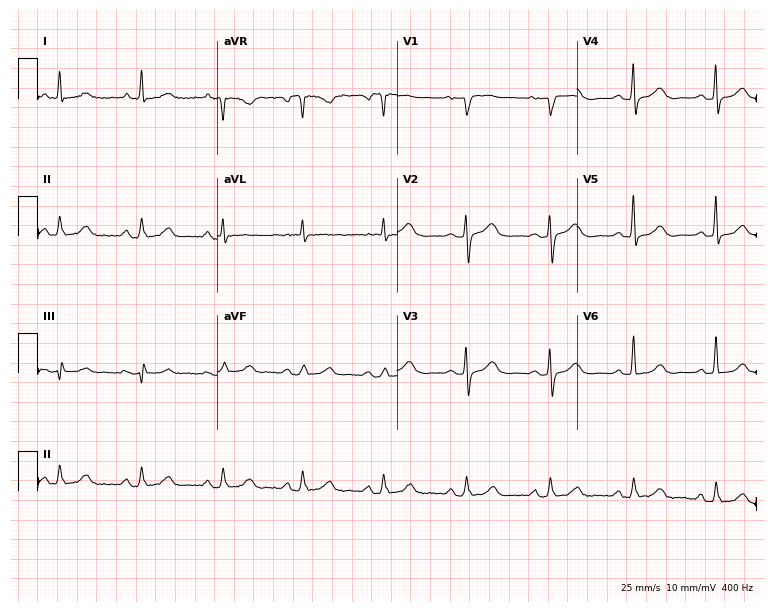
12-lead ECG from a woman, 69 years old. No first-degree AV block, right bundle branch block, left bundle branch block, sinus bradycardia, atrial fibrillation or sinus tachycardia recorded for this tracing.